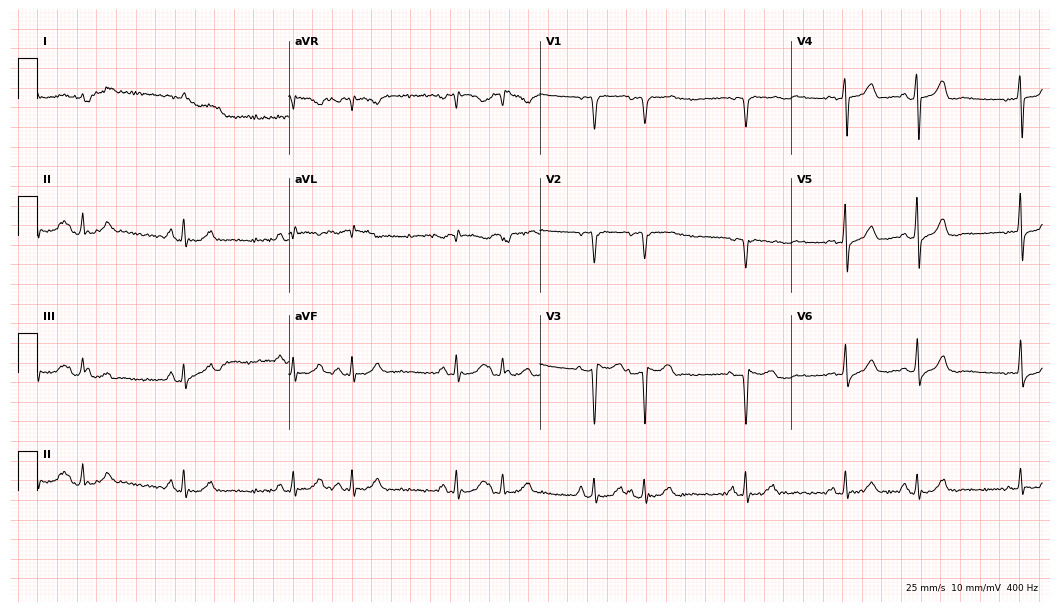
ECG (10.2-second recording at 400 Hz) — an 82-year-old male patient. Screened for six findings — first-degree AV block, right bundle branch block, left bundle branch block, sinus bradycardia, atrial fibrillation, sinus tachycardia — none is recorded. Only these six findings were labelled.